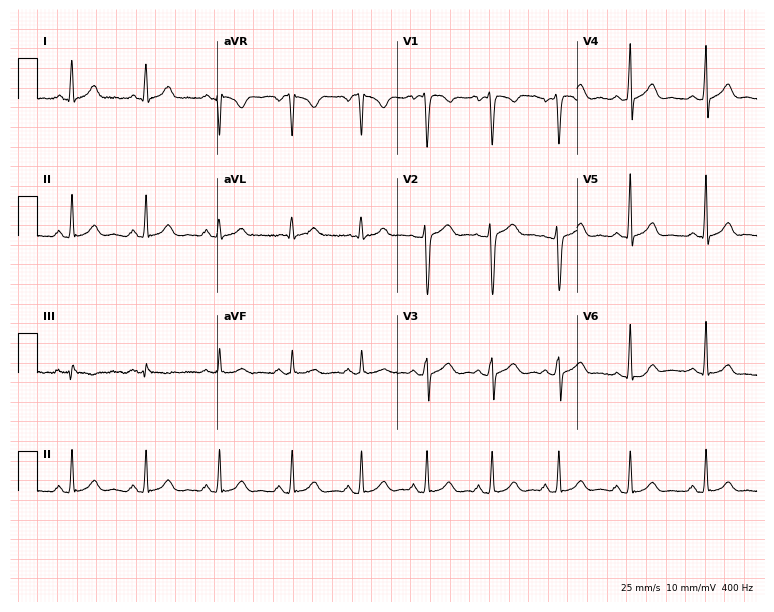
Electrocardiogram, a female patient, 28 years old. Overall reading on record: normal ECG.